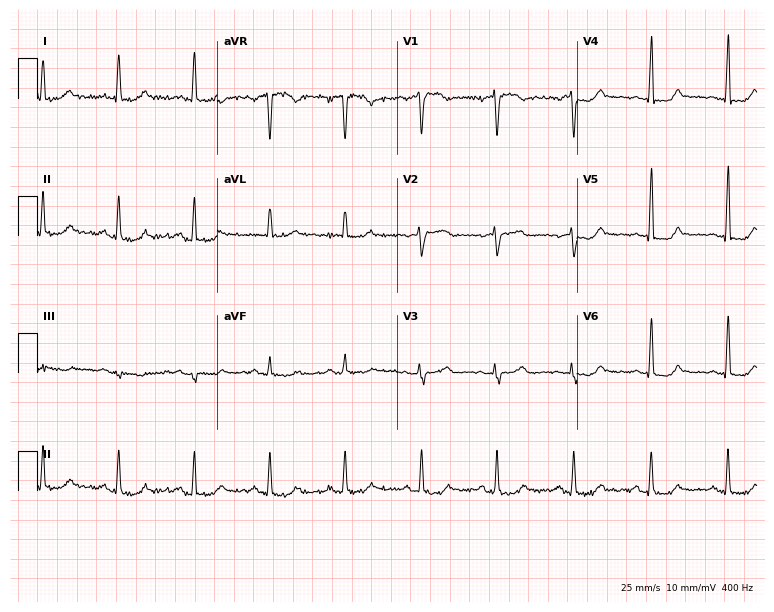
Electrocardiogram (7.3-second recording at 400 Hz), a woman, 48 years old. Overall reading on record: normal ECG.